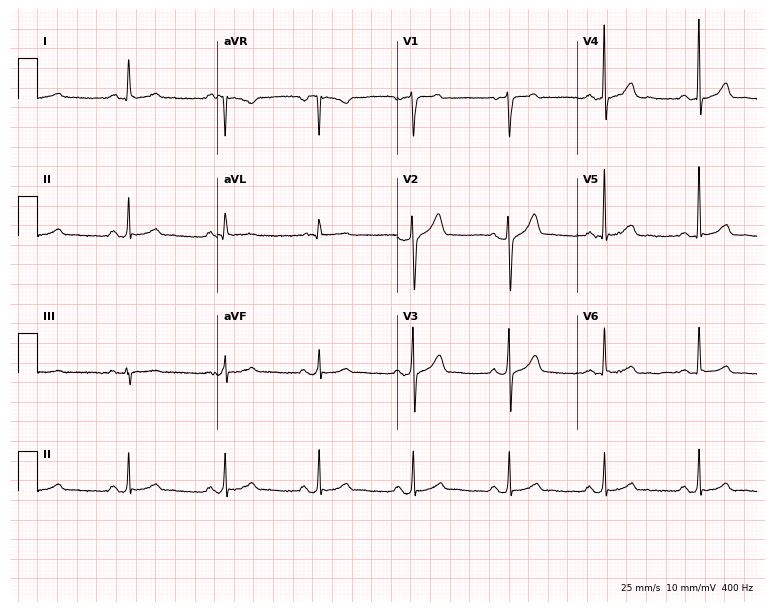
ECG (7.3-second recording at 400 Hz) — a 74-year-old male patient. Labelled as a normal ECG.